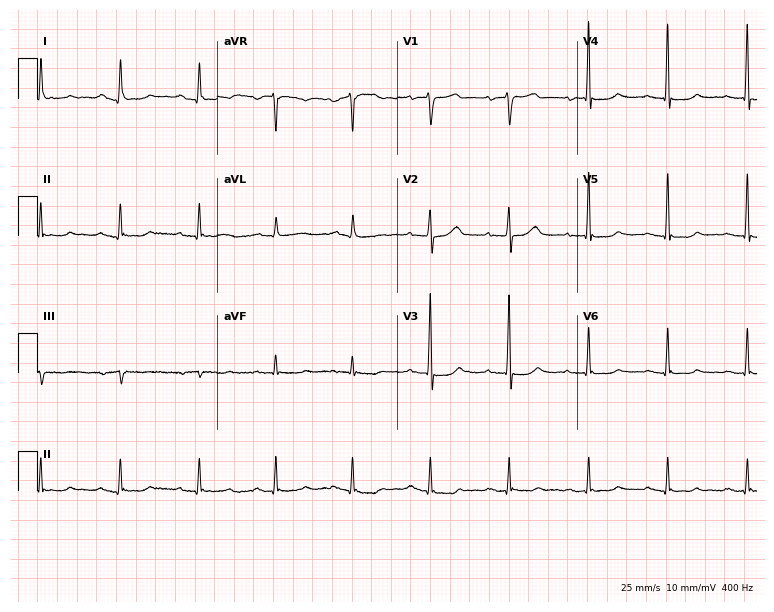
12-lead ECG (7.3-second recording at 400 Hz) from a woman, 55 years old. Screened for six findings — first-degree AV block, right bundle branch block, left bundle branch block, sinus bradycardia, atrial fibrillation, sinus tachycardia — none is recorded.